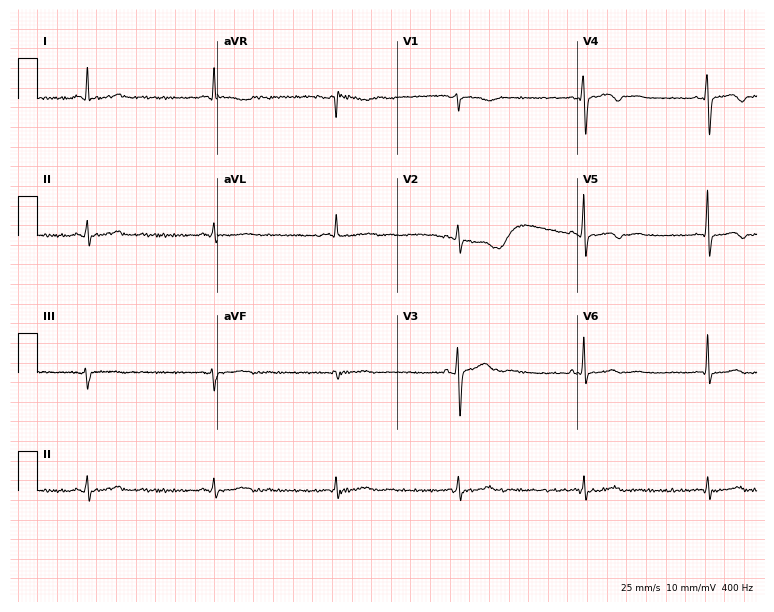
Resting 12-lead electrocardiogram. Patient: a female, 56 years old. The tracing shows sinus bradycardia (a sinus rate of 50 beats per minute or less).